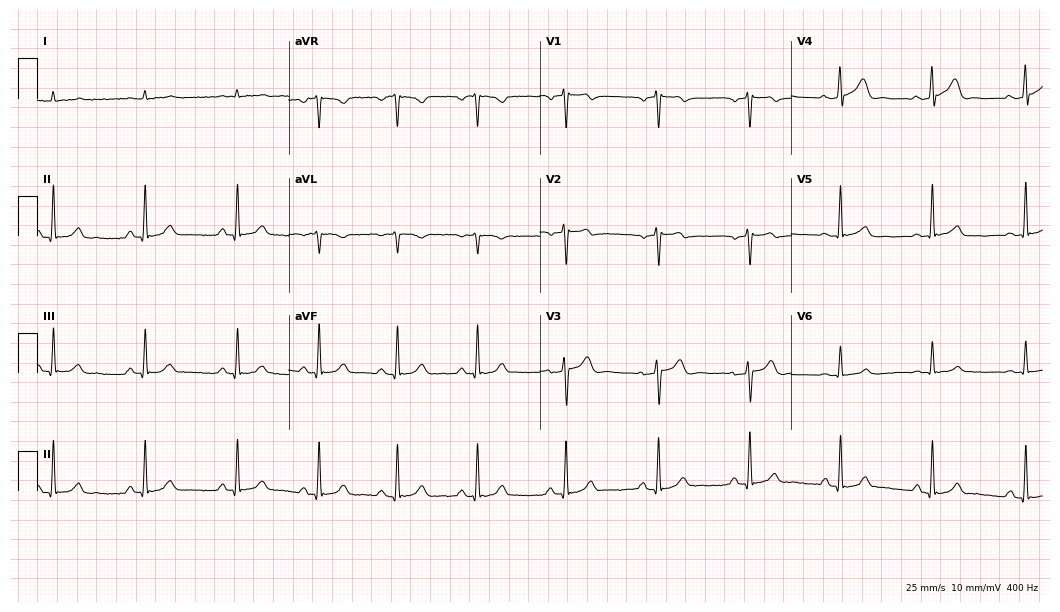
12-lead ECG from a 50-year-old male. Labelled as a normal ECG.